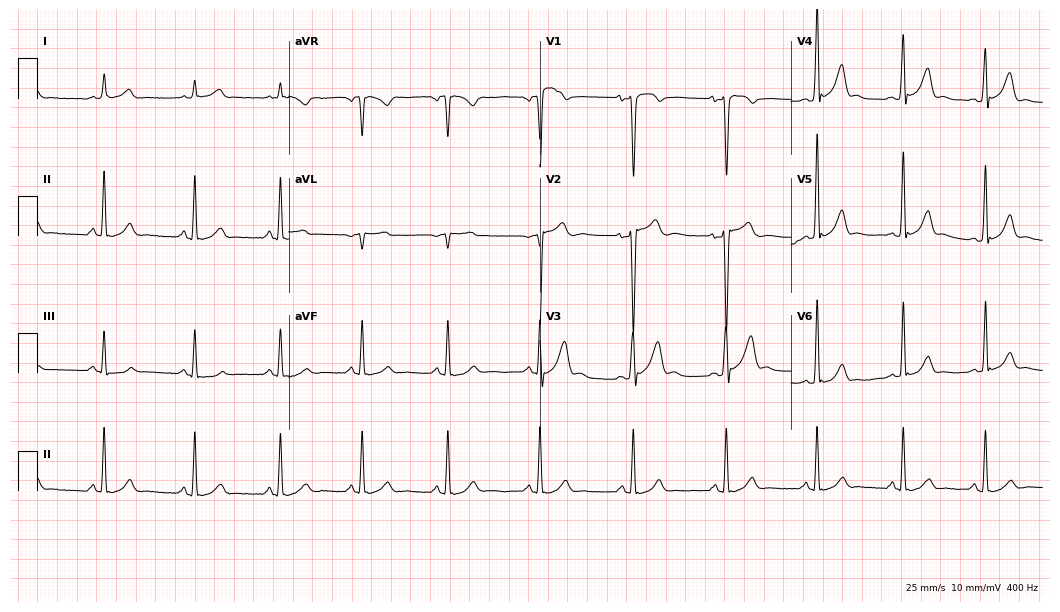
Standard 12-lead ECG recorded from a man, 40 years old (10.2-second recording at 400 Hz). Read as a normal ECG.